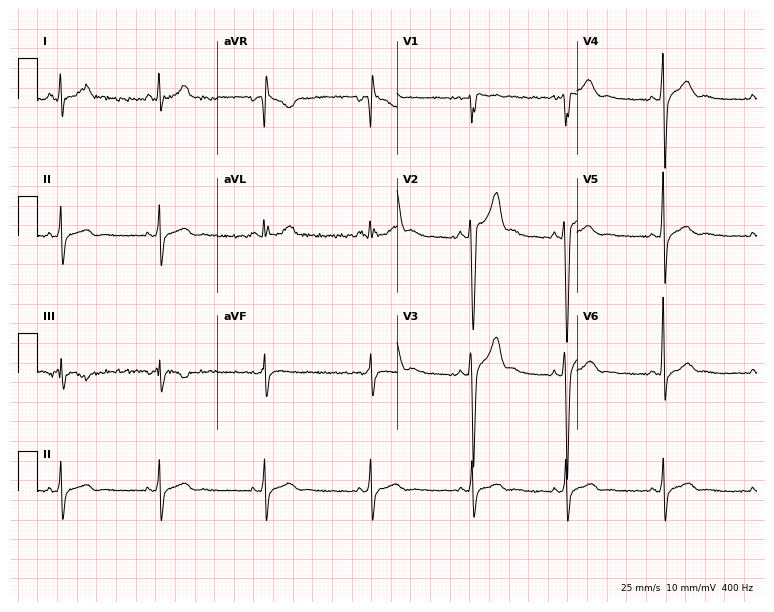
Resting 12-lead electrocardiogram. Patient: a man, 25 years old. None of these six findings is recorded: first-degree AV block, right bundle branch block, left bundle branch block, sinus bradycardia, atrial fibrillation, sinus tachycardia.